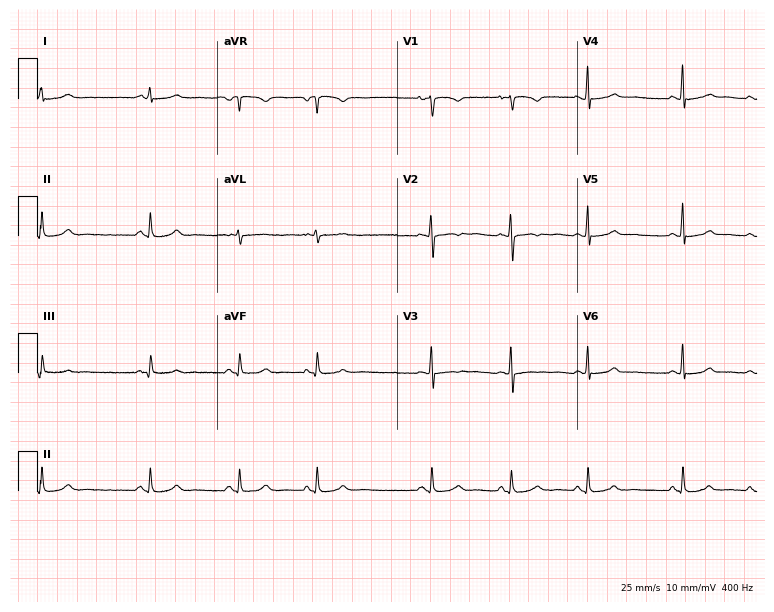
12-lead ECG from a female, 25 years old. Labelled as a normal ECG.